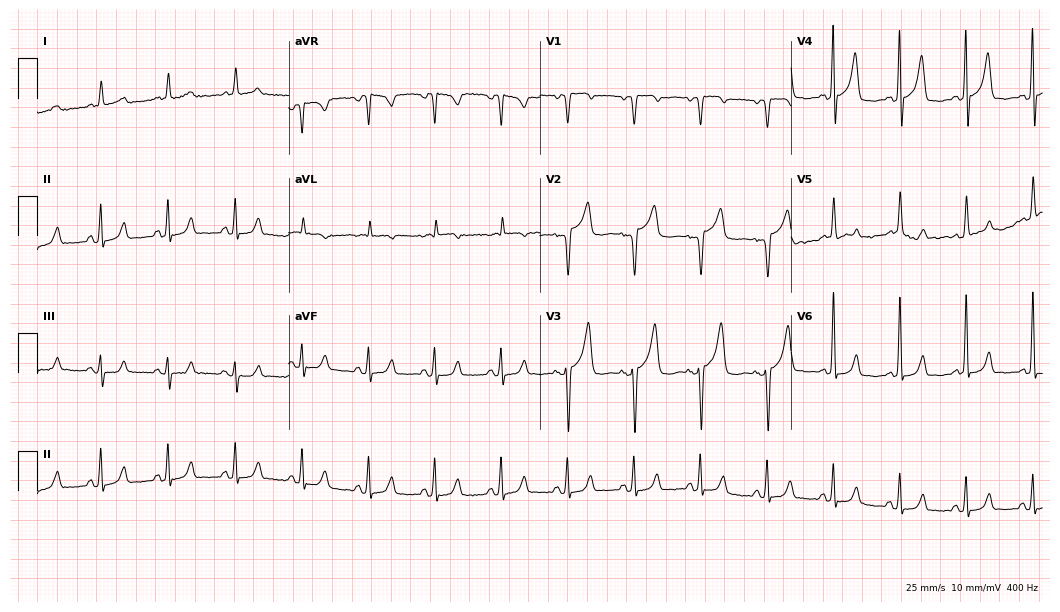
Standard 12-lead ECG recorded from a woman, 70 years old (10.2-second recording at 400 Hz). None of these six findings is recorded: first-degree AV block, right bundle branch block (RBBB), left bundle branch block (LBBB), sinus bradycardia, atrial fibrillation (AF), sinus tachycardia.